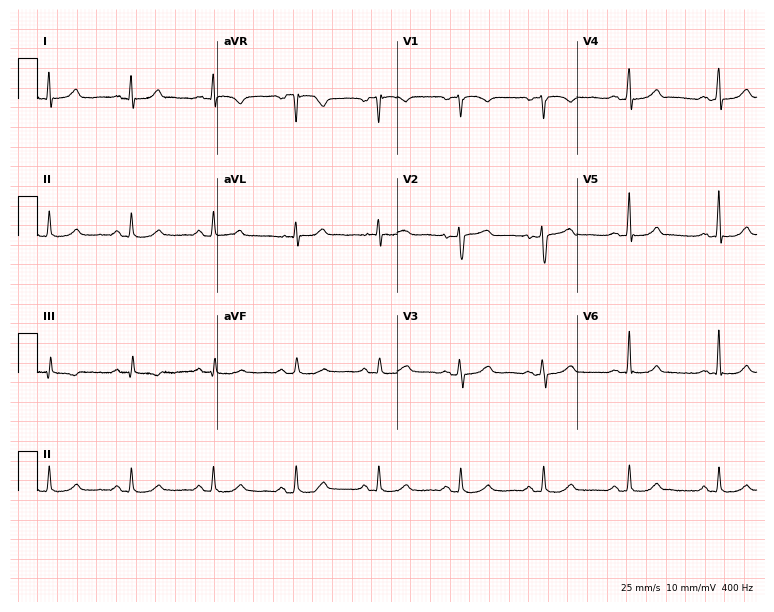
Electrocardiogram, a 60-year-old woman. Of the six screened findings (first-degree AV block, right bundle branch block, left bundle branch block, sinus bradycardia, atrial fibrillation, sinus tachycardia), none is recorded.